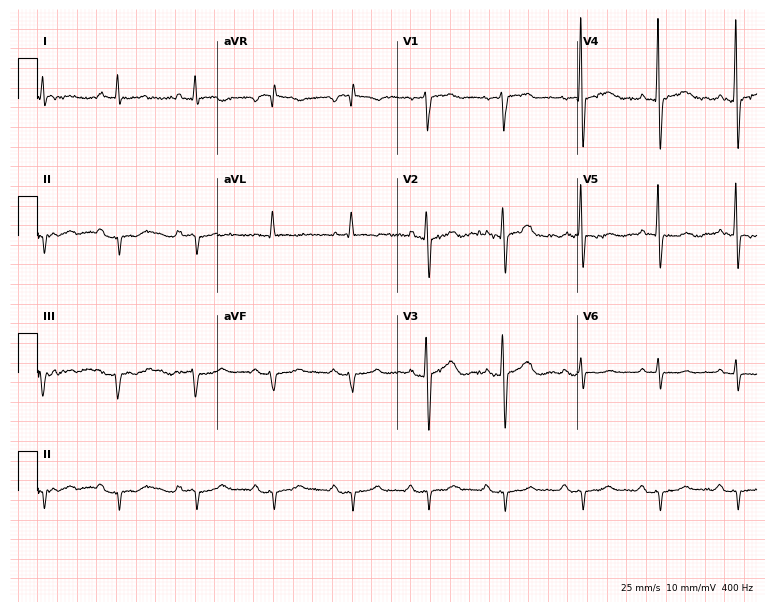
12-lead ECG from a male patient, 70 years old. Screened for six findings — first-degree AV block, right bundle branch block, left bundle branch block, sinus bradycardia, atrial fibrillation, sinus tachycardia — none is recorded. Only these six findings were labelled.